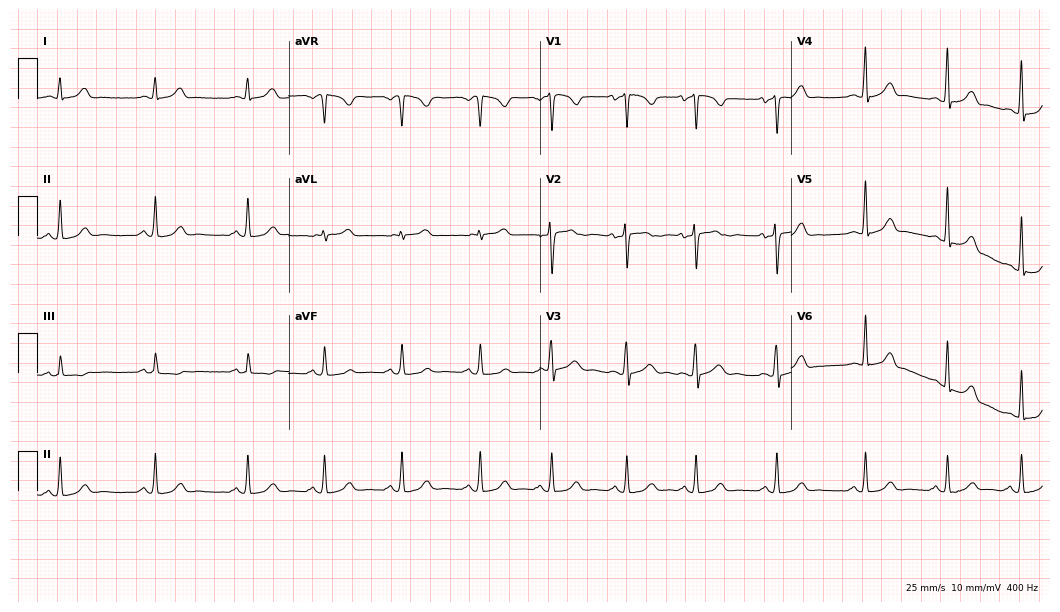
ECG — a female, 21 years old. Labelled as a normal ECG.